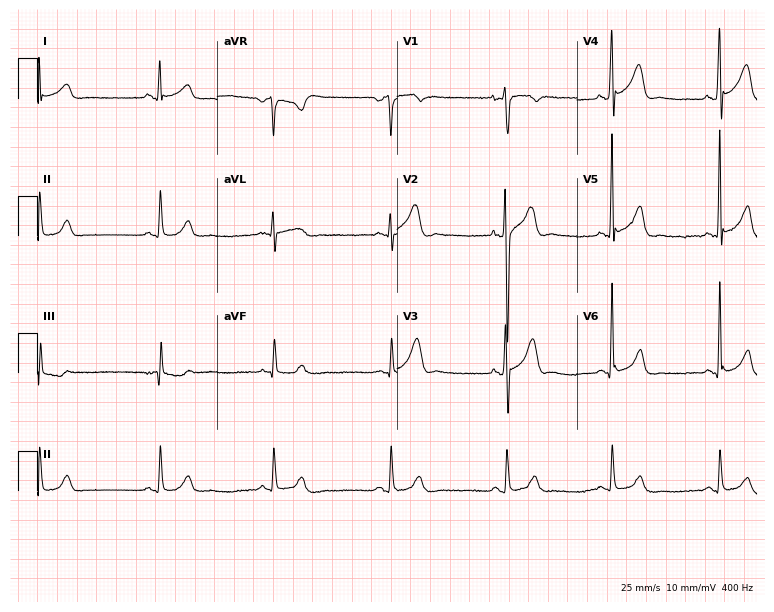
12-lead ECG from a male, 45 years old (7.3-second recording at 400 Hz). No first-degree AV block, right bundle branch block, left bundle branch block, sinus bradycardia, atrial fibrillation or sinus tachycardia recorded for this tracing. Findings outside these six are not listed.